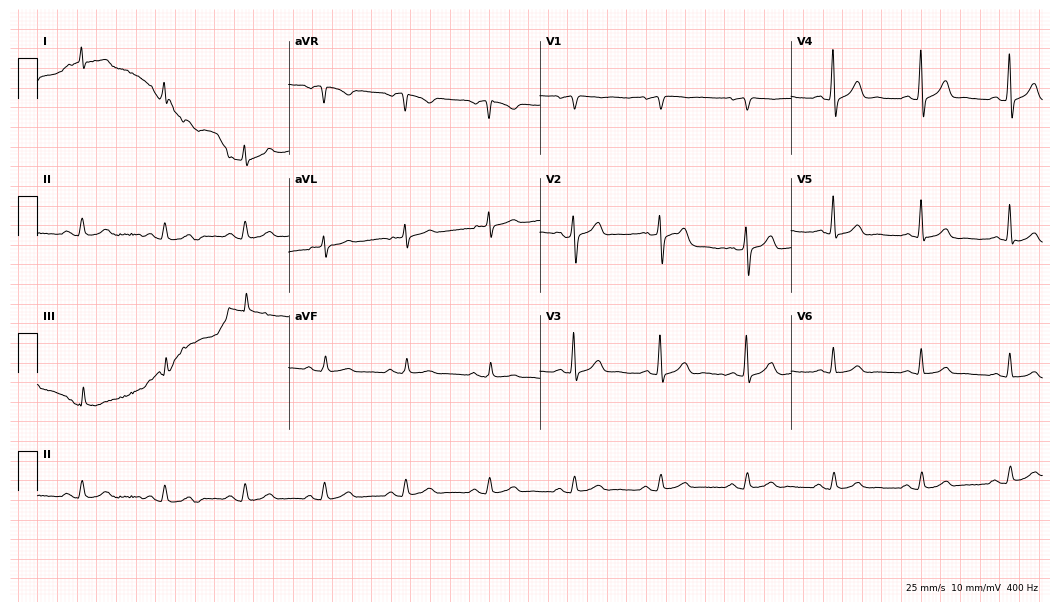
Resting 12-lead electrocardiogram. Patient: an 82-year-old male. Read as a normal ECG.